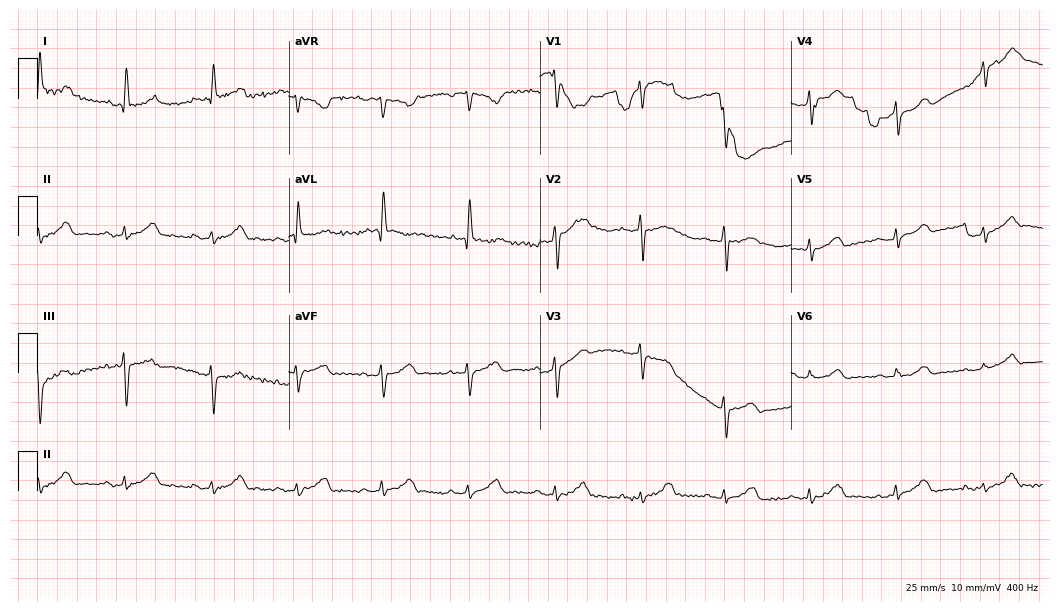
12-lead ECG from a 46-year-old male patient. No first-degree AV block, right bundle branch block (RBBB), left bundle branch block (LBBB), sinus bradycardia, atrial fibrillation (AF) or sinus tachycardia recorded for this tracing. Findings outside these six are not listed.